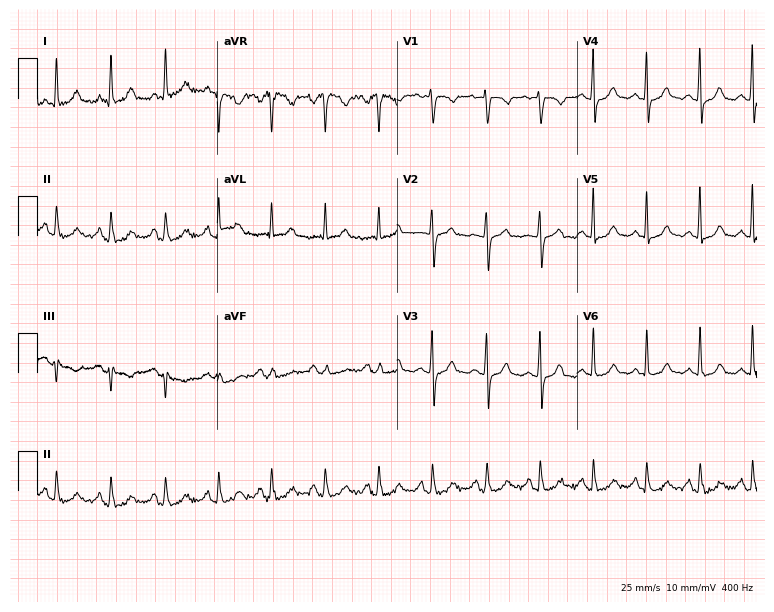
Resting 12-lead electrocardiogram (7.3-second recording at 400 Hz). Patient: a 57-year-old male. The tracing shows sinus tachycardia (a sinus rate of 100 beats per minute or more).